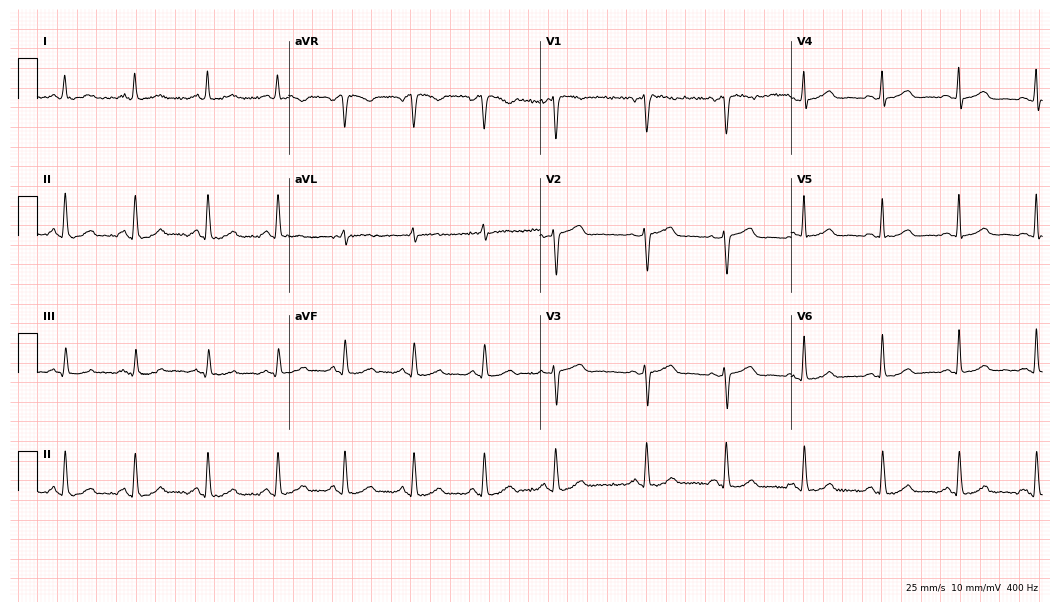
ECG — a female patient, 43 years old. Labelled as a normal ECG.